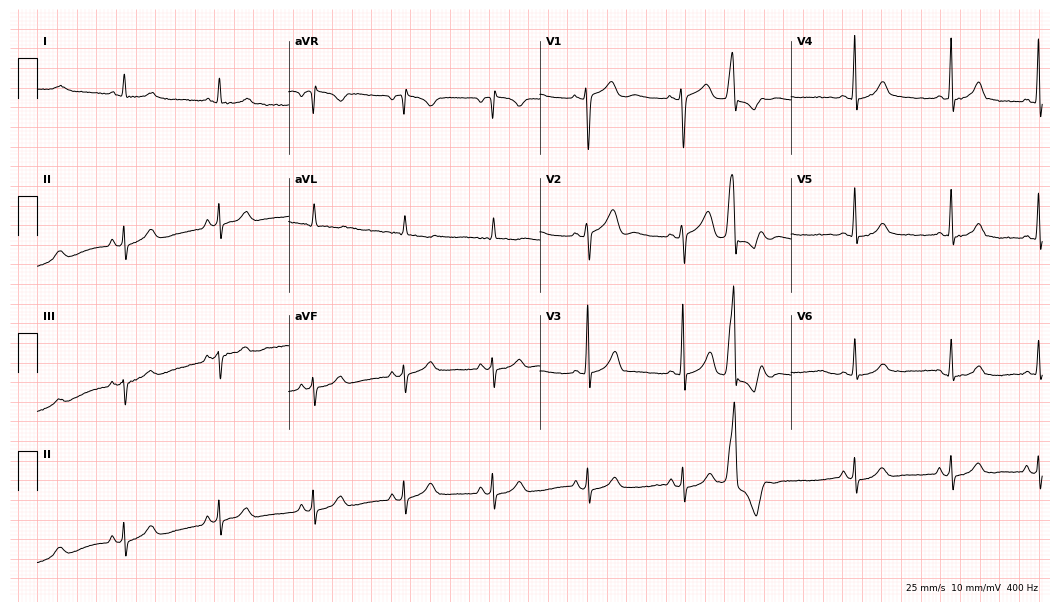
Standard 12-lead ECG recorded from a 30-year-old woman. None of these six findings is recorded: first-degree AV block, right bundle branch block (RBBB), left bundle branch block (LBBB), sinus bradycardia, atrial fibrillation (AF), sinus tachycardia.